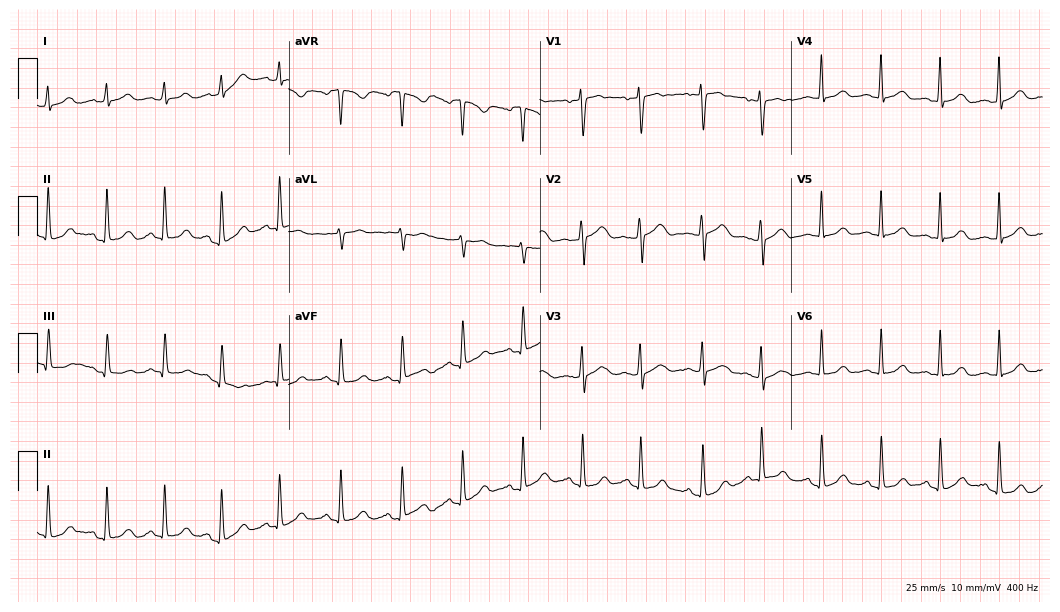
12-lead ECG (10.2-second recording at 400 Hz) from a female patient, 40 years old. Labelled as a normal ECG.